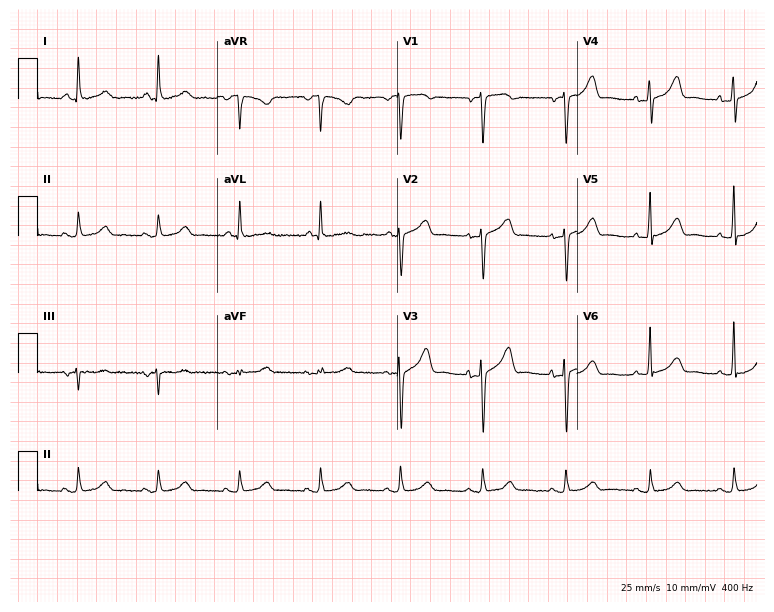
12-lead ECG from a female, 83 years old (7.3-second recording at 400 Hz). Recorded interpretation: within normal limits.